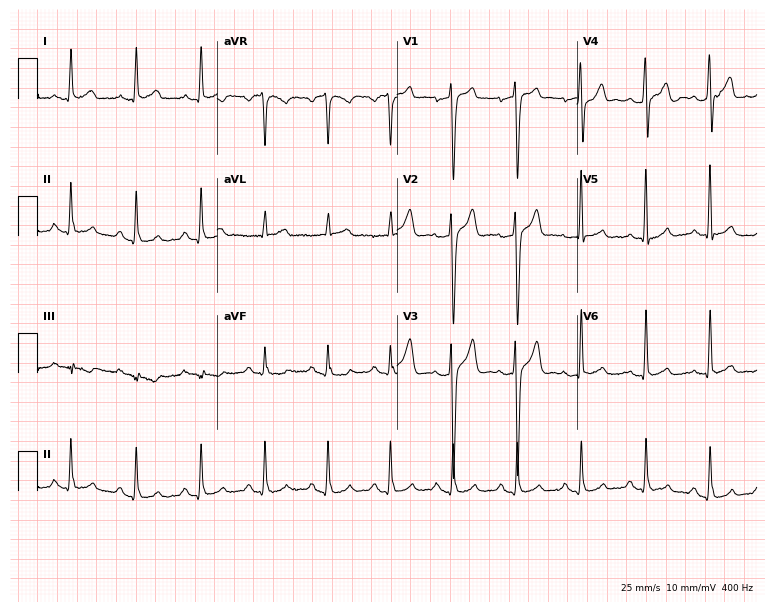
ECG — a 46-year-old man. Labelled as a normal ECG.